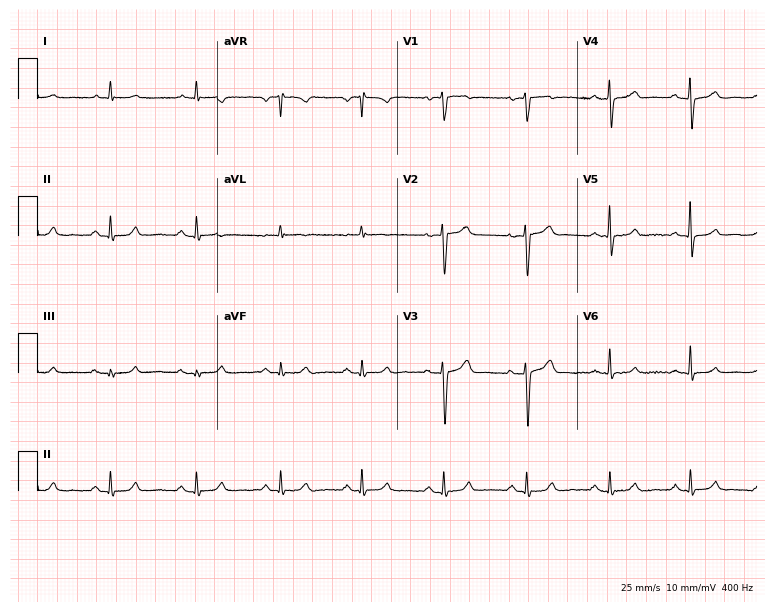
Resting 12-lead electrocardiogram. Patient: a male, 57 years old. Read as a normal ECG.